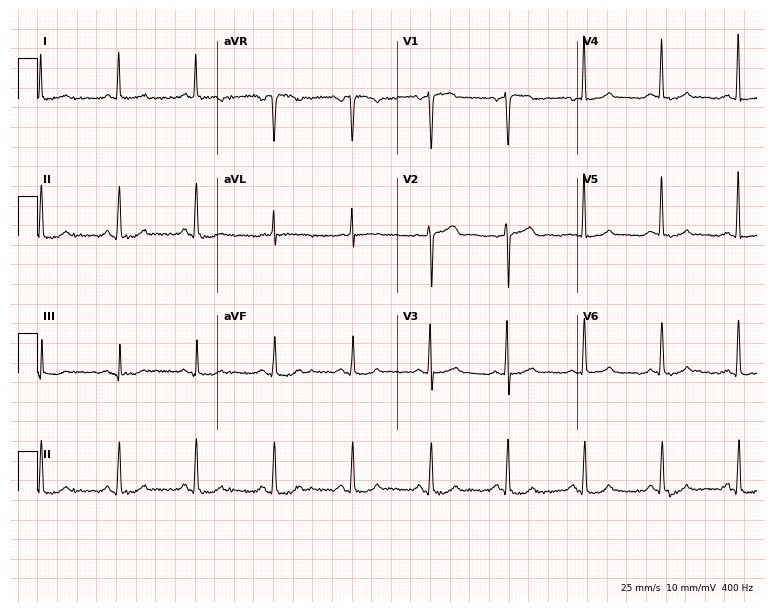
Resting 12-lead electrocardiogram. Patient: a male, 56 years old. None of these six findings is recorded: first-degree AV block, right bundle branch block, left bundle branch block, sinus bradycardia, atrial fibrillation, sinus tachycardia.